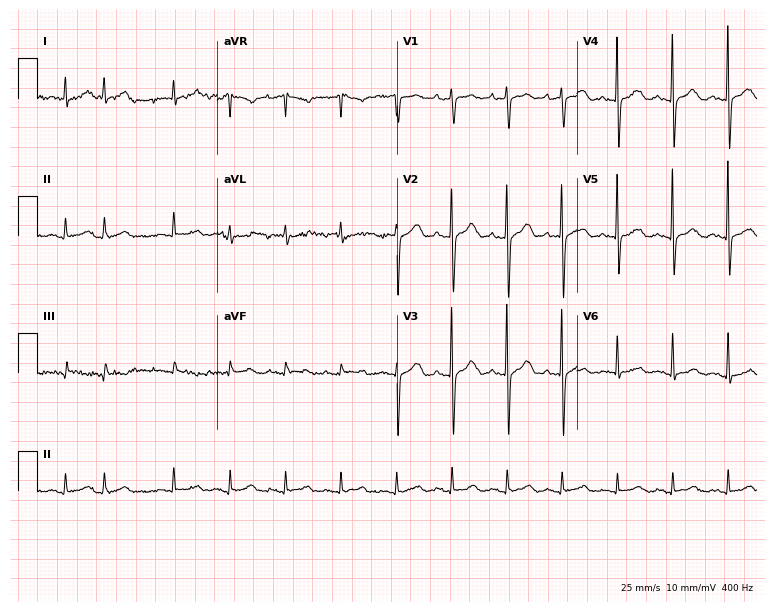
ECG (7.3-second recording at 400 Hz) — a female patient, 83 years old. Findings include sinus tachycardia (a sinus rate of 100 beats per minute or more).